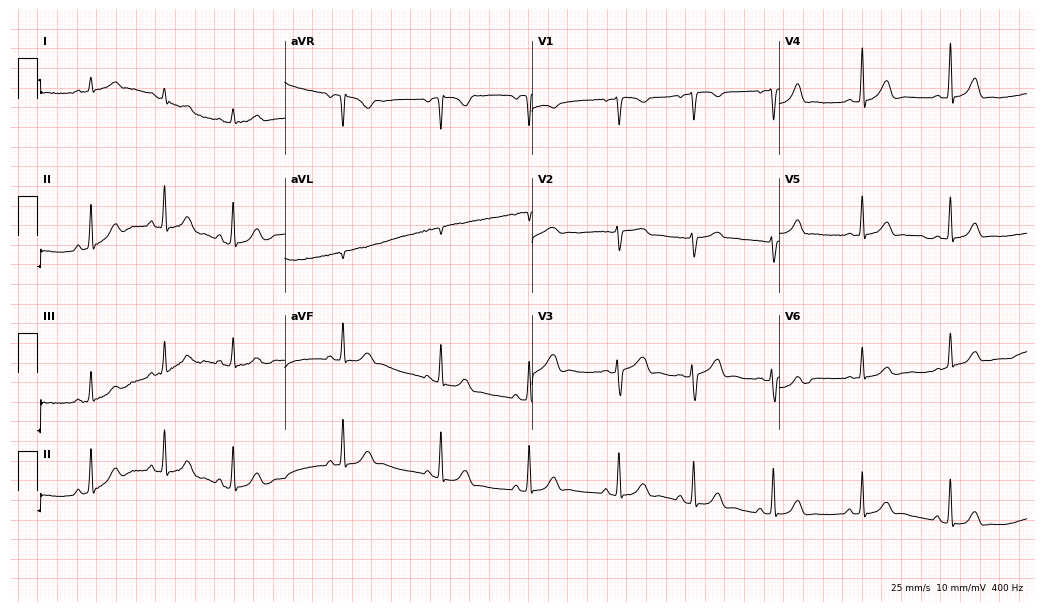
Electrocardiogram, a female patient, 35 years old. Overall reading on record: normal ECG.